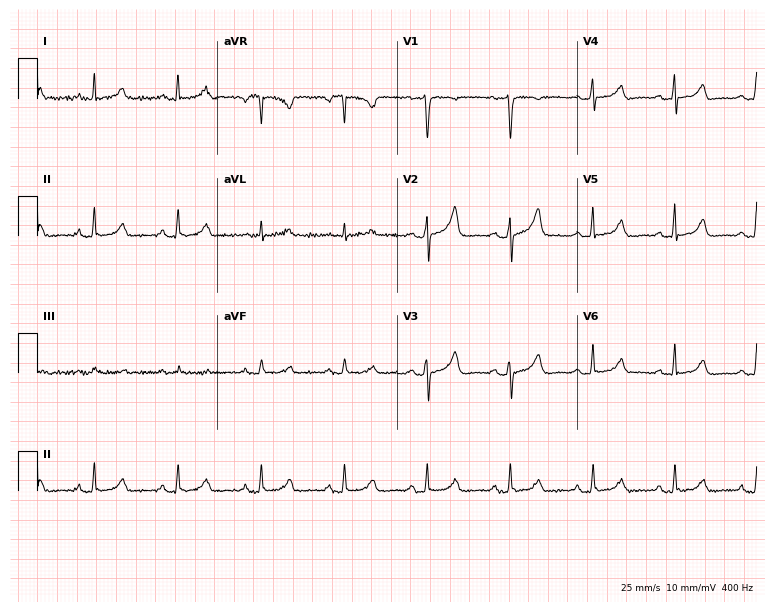
Resting 12-lead electrocardiogram (7.3-second recording at 400 Hz). Patient: a 55-year-old female. Read as a normal ECG.